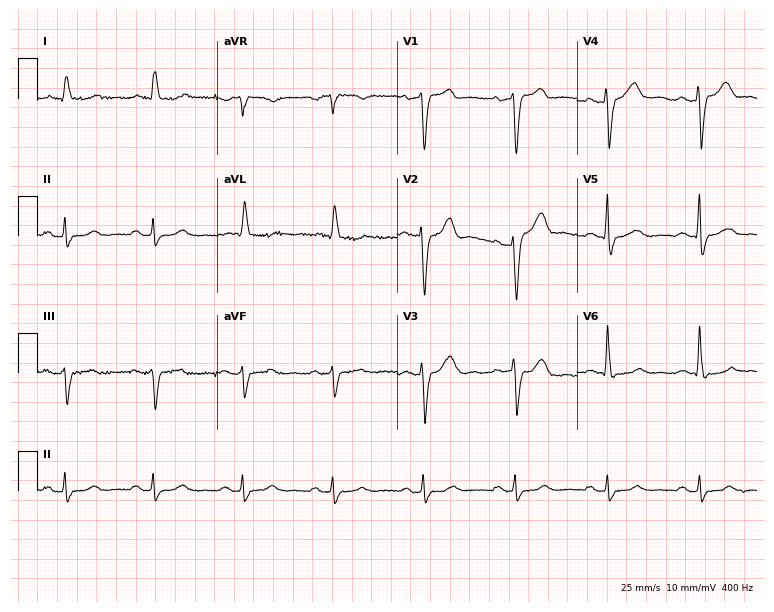
ECG — a 78-year-old man. Screened for six findings — first-degree AV block, right bundle branch block, left bundle branch block, sinus bradycardia, atrial fibrillation, sinus tachycardia — none is recorded. Only these six findings were labelled.